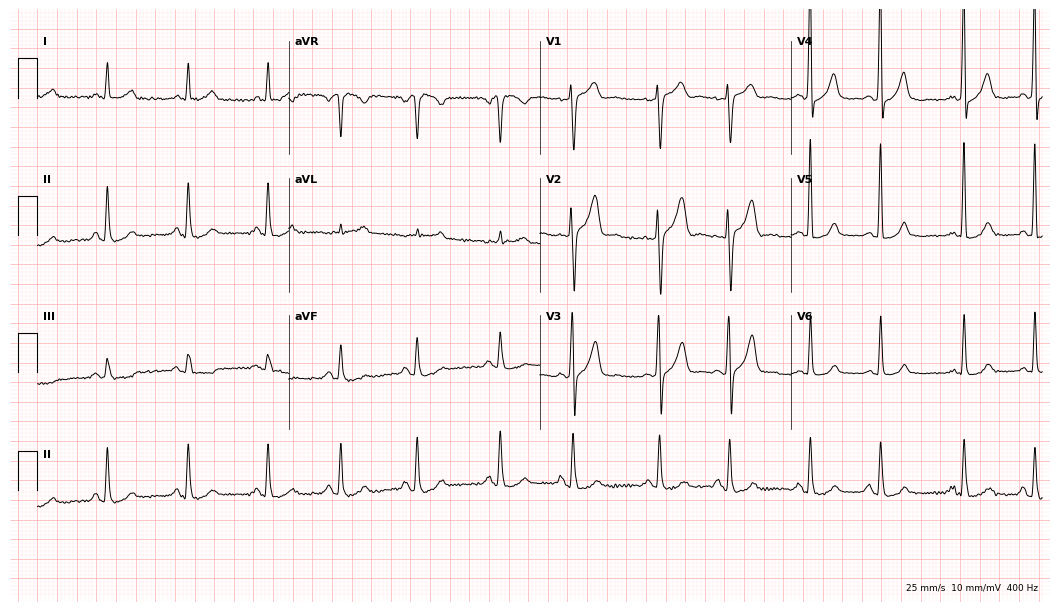
ECG — a 63-year-old female patient. Labelled as a normal ECG.